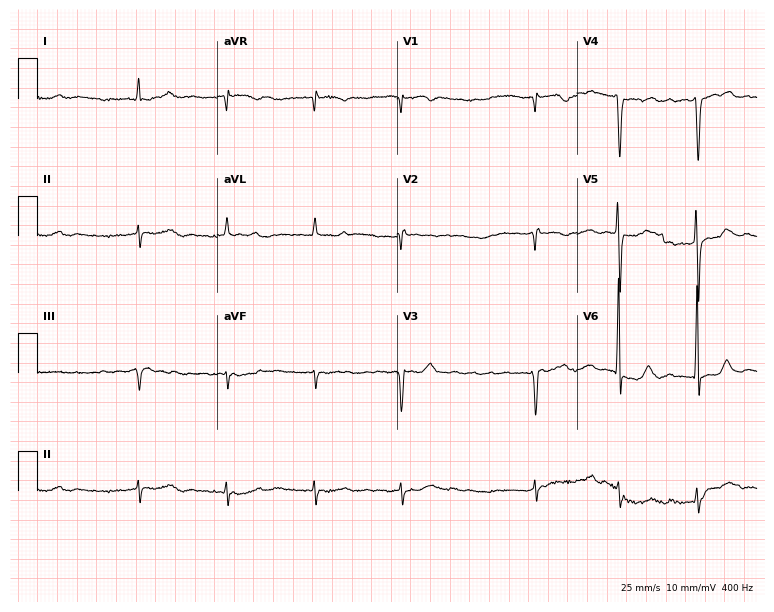
12-lead ECG from a male, 84 years old (7.3-second recording at 400 Hz). No first-degree AV block, right bundle branch block, left bundle branch block, sinus bradycardia, atrial fibrillation or sinus tachycardia recorded for this tracing. Only these six findings were labelled.